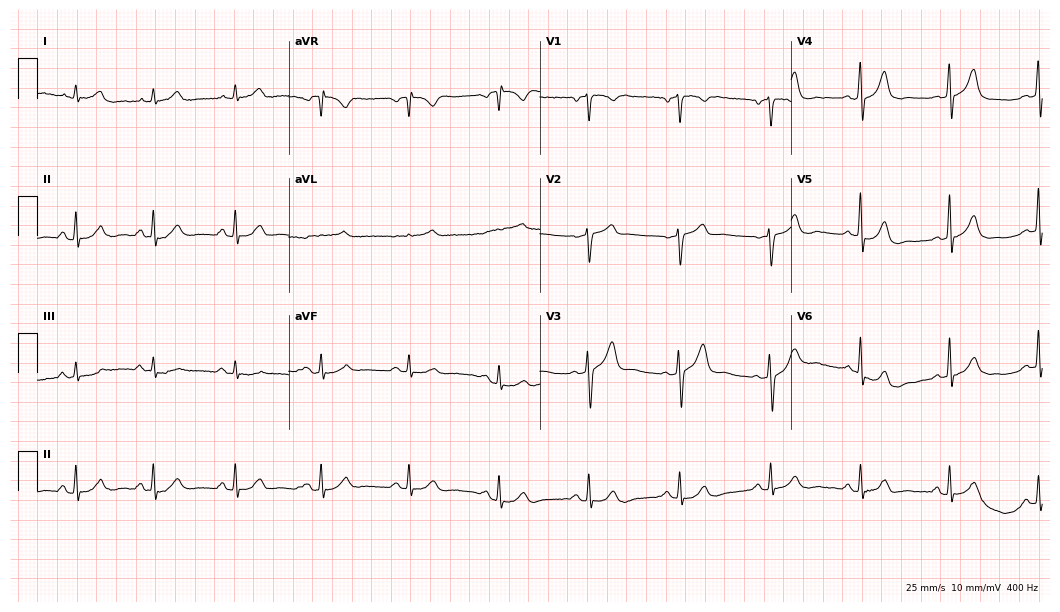
Standard 12-lead ECG recorded from a male patient, 54 years old (10.2-second recording at 400 Hz). Read as a normal ECG.